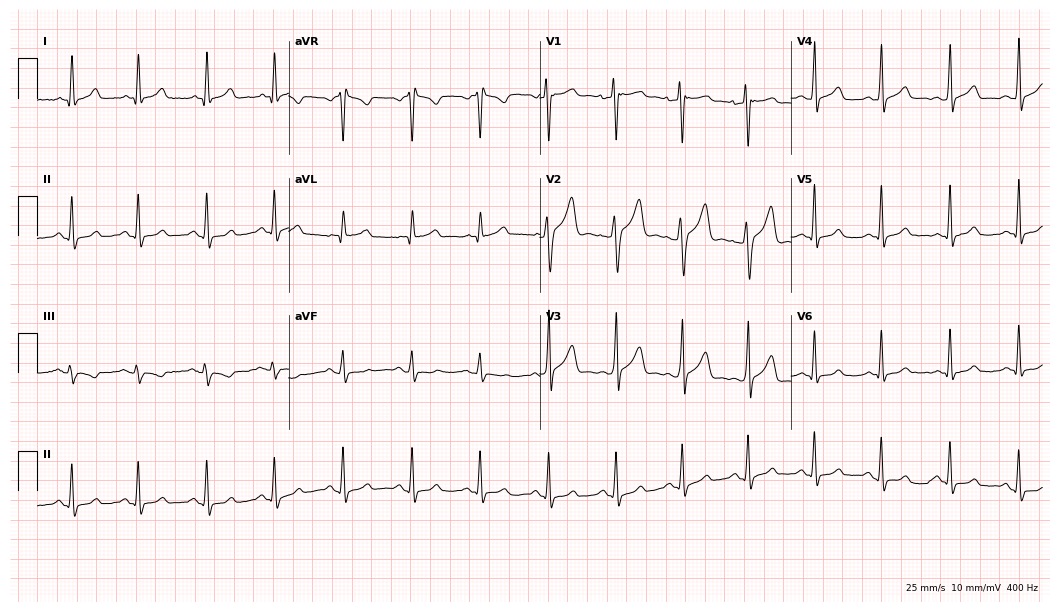
Electrocardiogram (10.2-second recording at 400 Hz), a 30-year-old man. Of the six screened findings (first-degree AV block, right bundle branch block, left bundle branch block, sinus bradycardia, atrial fibrillation, sinus tachycardia), none is recorded. Only these six findings were labelled.